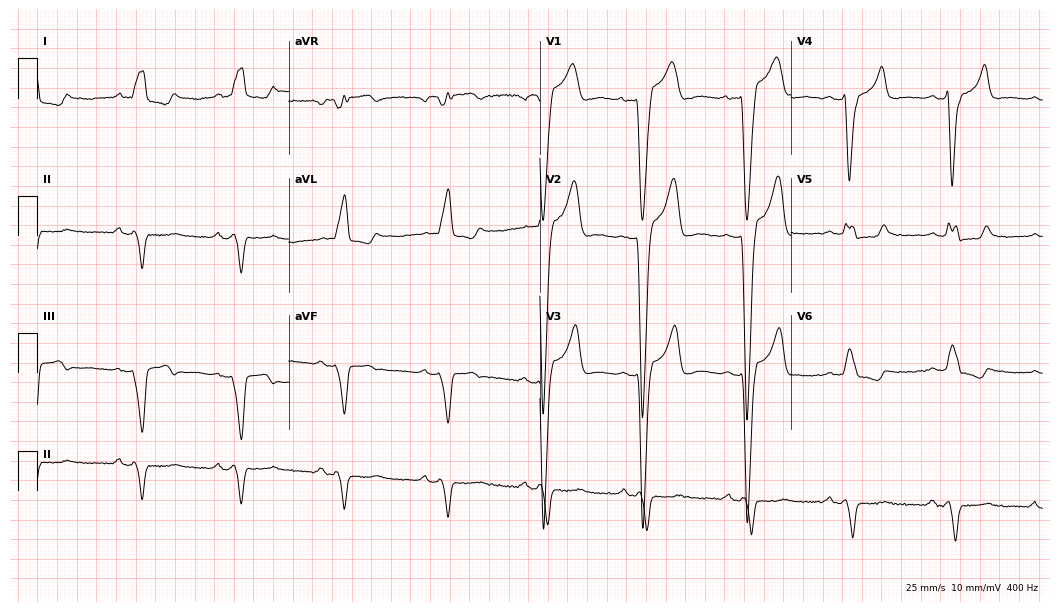
Electrocardiogram (10.2-second recording at 400 Hz), a man, 59 years old. Interpretation includes left bundle branch block.